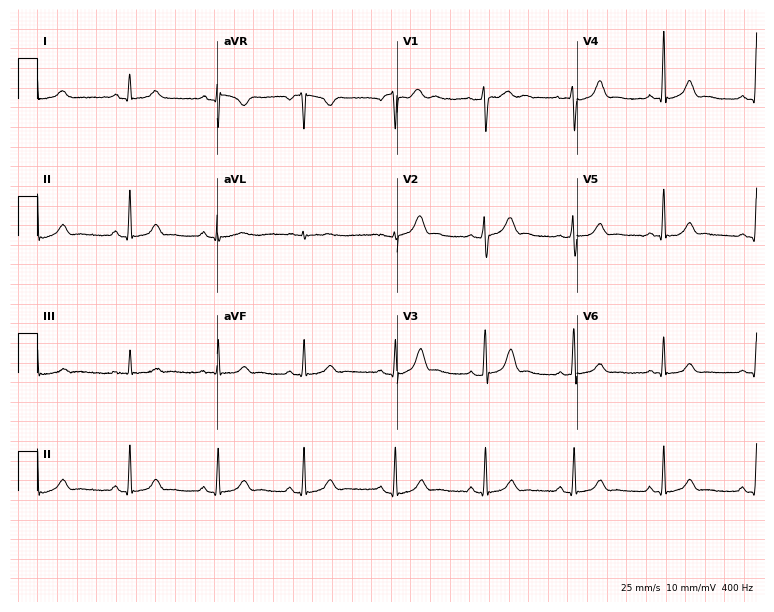
Resting 12-lead electrocardiogram (7.3-second recording at 400 Hz). Patient: a female, 27 years old. Read as a normal ECG.